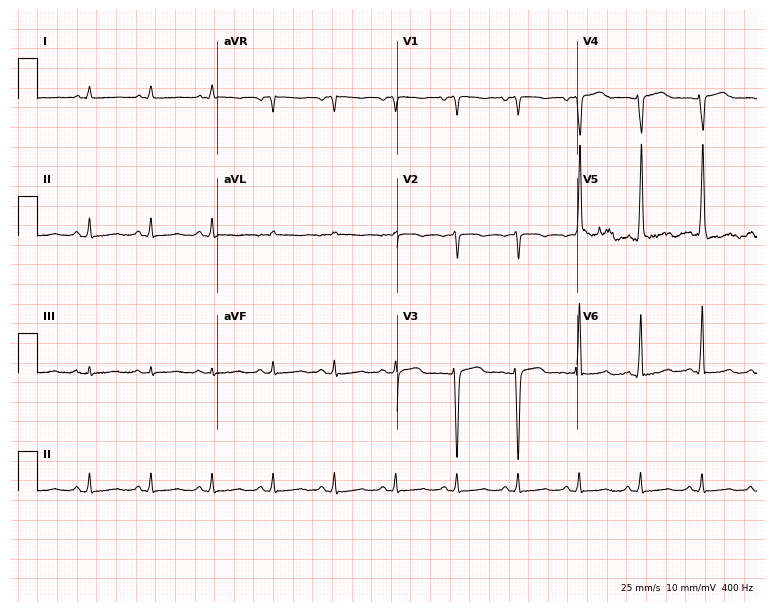
12-lead ECG from a male, 78 years old (7.3-second recording at 400 Hz). No first-degree AV block, right bundle branch block, left bundle branch block, sinus bradycardia, atrial fibrillation or sinus tachycardia recorded for this tracing.